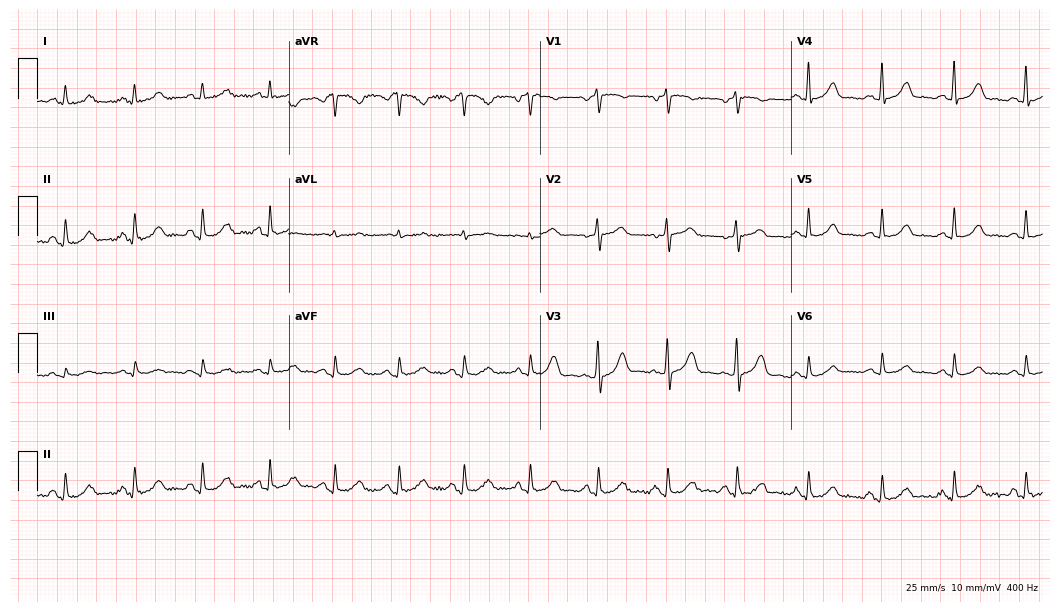
Resting 12-lead electrocardiogram (10.2-second recording at 400 Hz). Patient: a female, 67 years old. None of these six findings is recorded: first-degree AV block, right bundle branch block, left bundle branch block, sinus bradycardia, atrial fibrillation, sinus tachycardia. Only these six findings were labelled.